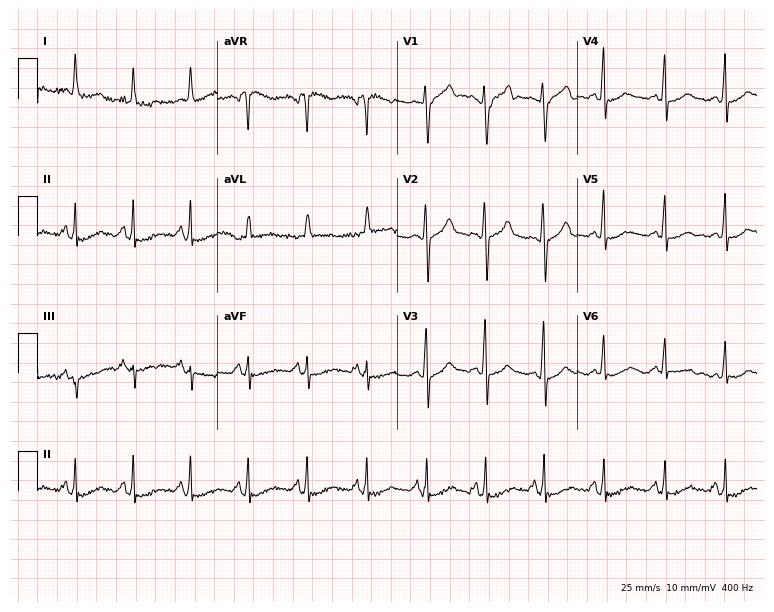
ECG — a woman, 52 years old. Labelled as a normal ECG.